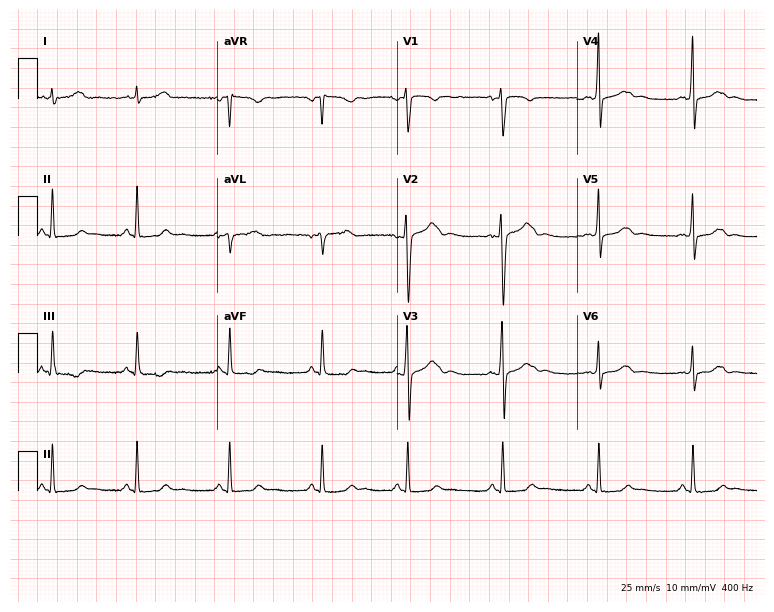
Electrocardiogram, a 30-year-old woman. Overall reading on record: normal ECG.